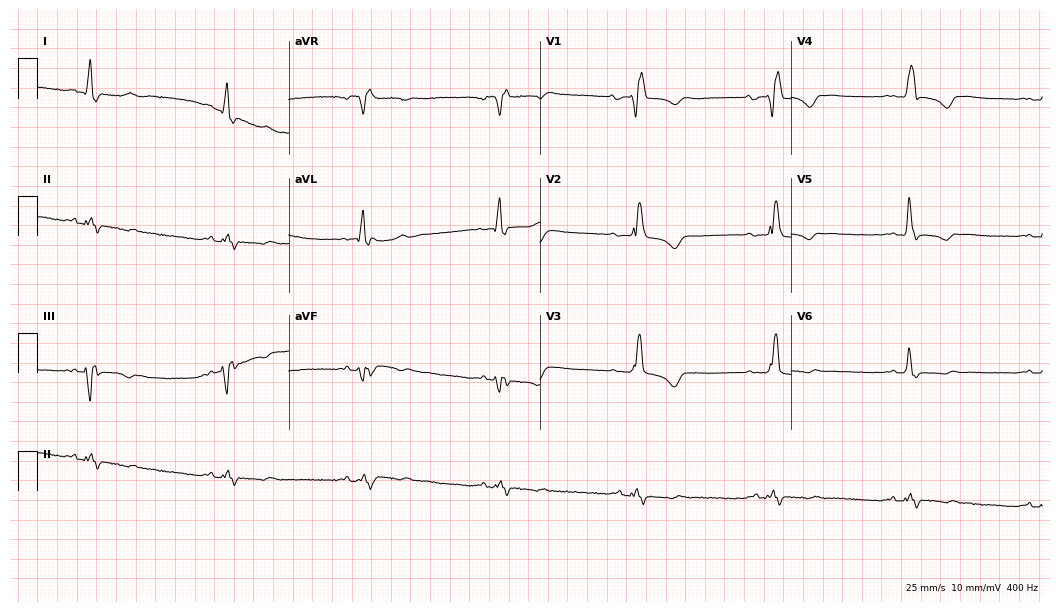
Standard 12-lead ECG recorded from a 54-year-old female. The tracing shows right bundle branch block, sinus bradycardia (a sinus rate of 50 beats per minute or less).